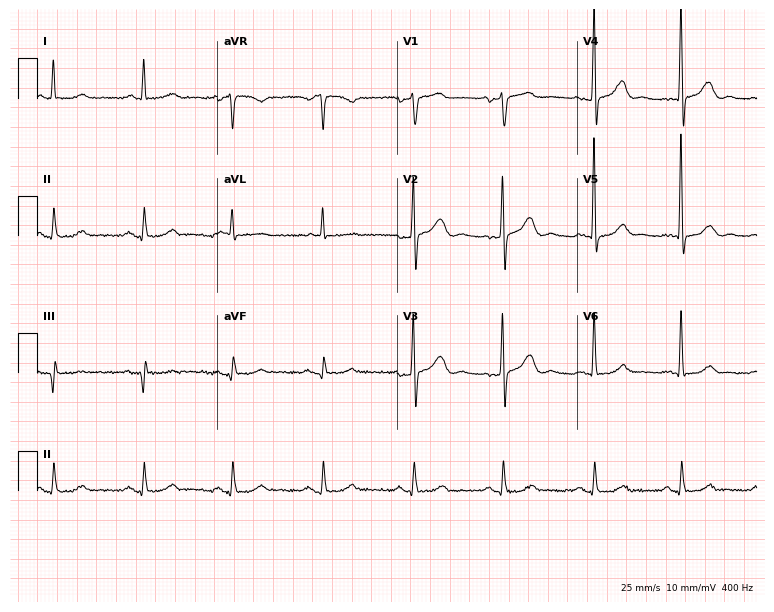
Standard 12-lead ECG recorded from a 69-year-old woman. None of these six findings is recorded: first-degree AV block, right bundle branch block, left bundle branch block, sinus bradycardia, atrial fibrillation, sinus tachycardia. Findings outside these six are not listed.